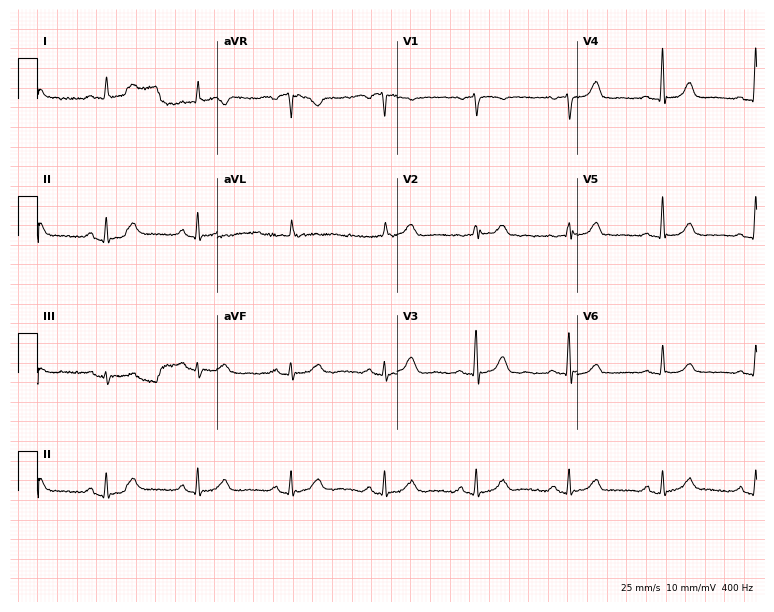
Resting 12-lead electrocardiogram (7.3-second recording at 400 Hz). Patient: a woman, 73 years old. Read as a normal ECG.